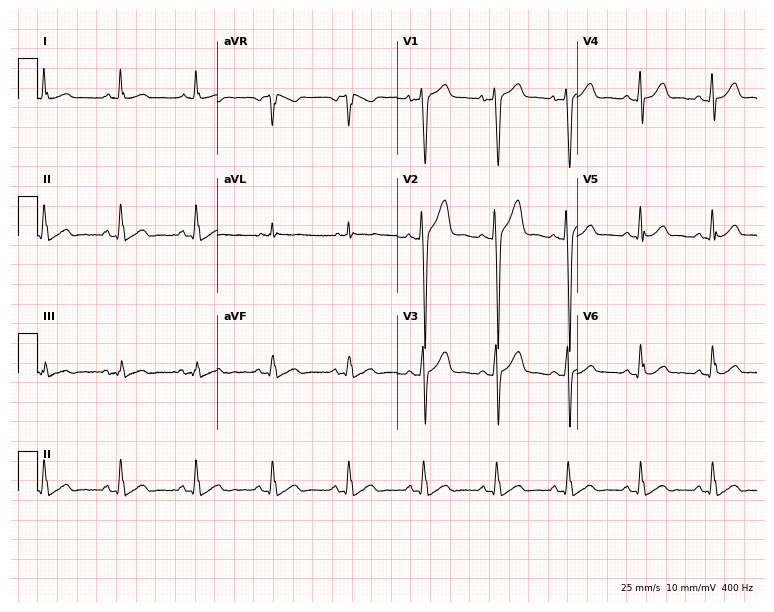
Electrocardiogram (7.3-second recording at 400 Hz), a 22-year-old man. Overall reading on record: normal ECG.